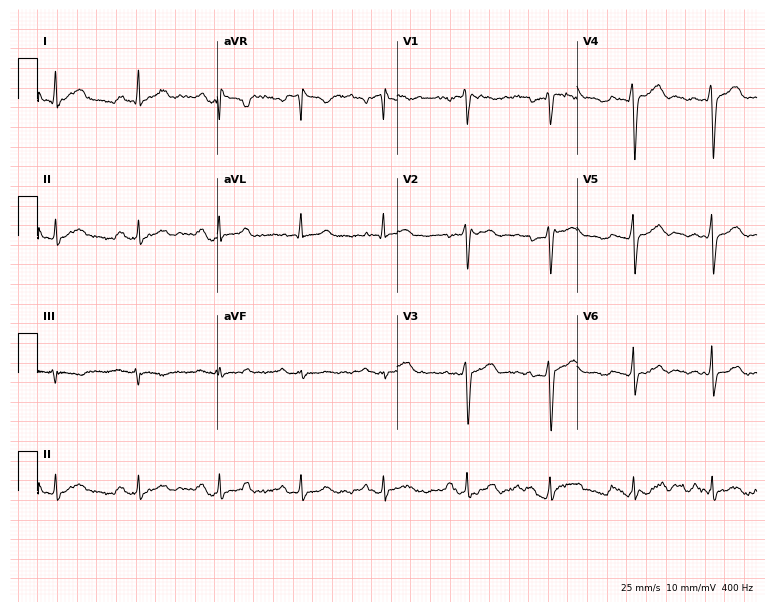
ECG — a man, 36 years old. Labelled as a normal ECG.